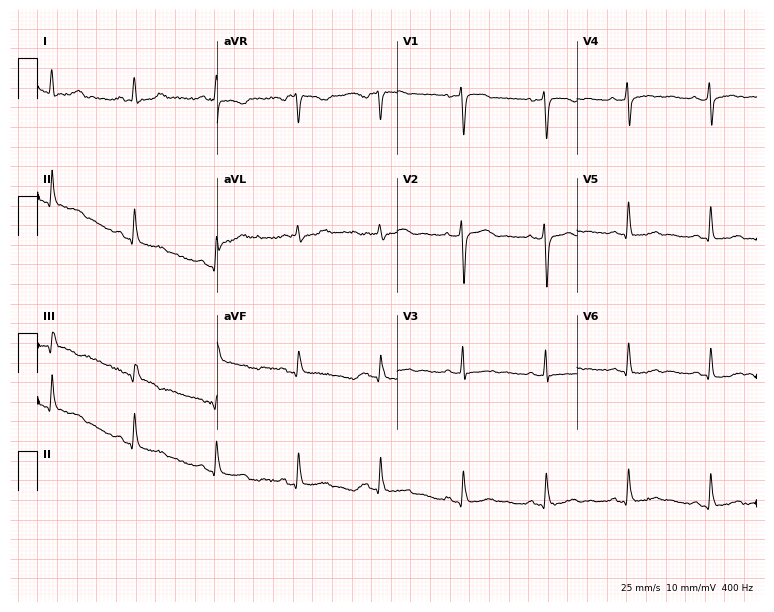
12-lead ECG from a female patient, 60 years old (7.3-second recording at 400 Hz). No first-degree AV block, right bundle branch block, left bundle branch block, sinus bradycardia, atrial fibrillation or sinus tachycardia recorded for this tracing.